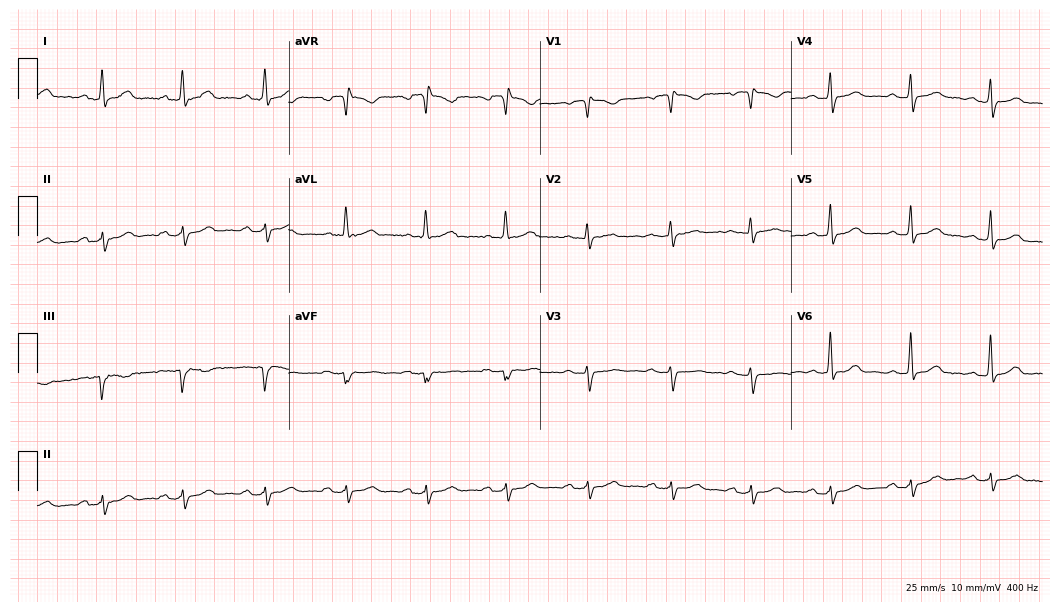
Standard 12-lead ECG recorded from a 64-year-old male patient. The tracing shows first-degree AV block.